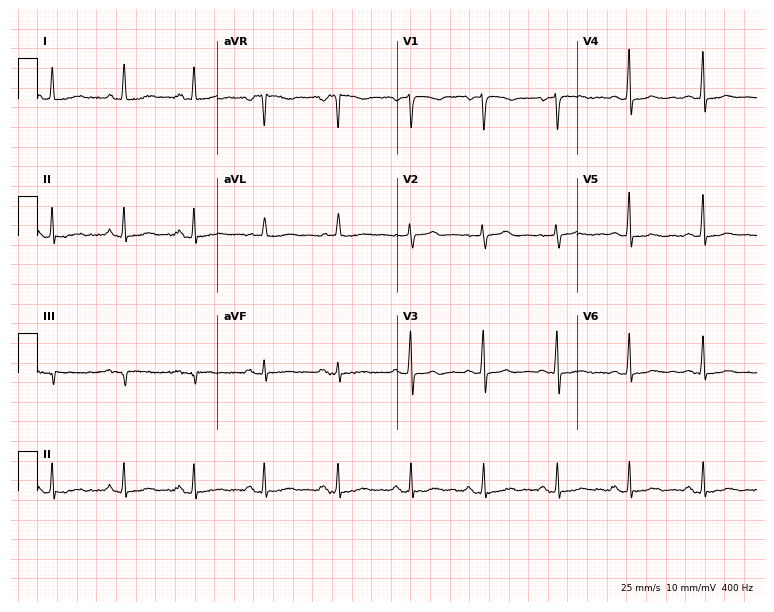
Electrocardiogram (7.3-second recording at 400 Hz), a female, 45 years old. Of the six screened findings (first-degree AV block, right bundle branch block (RBBB), left bundle branch block (LBBB), sinus bradycardia, atrial fibrillation (AF), sinus tachycardia), none is recorded.